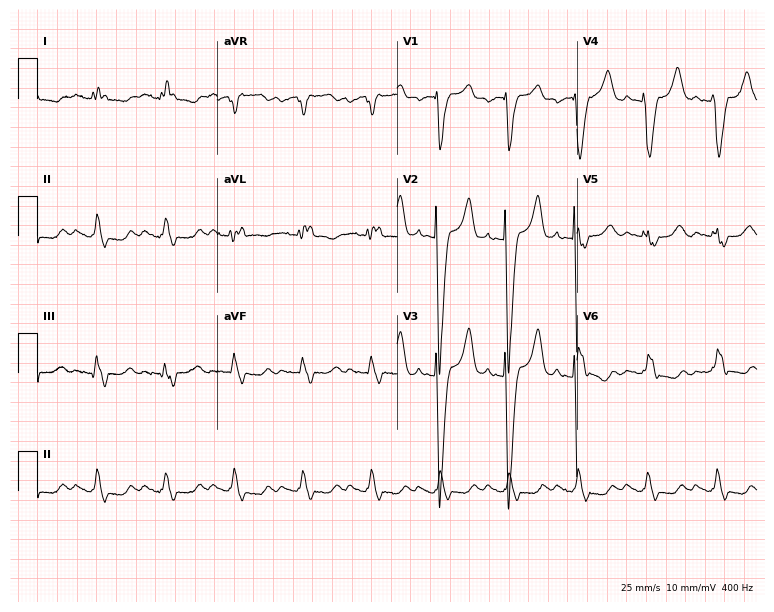
12-lead ECG from a female, 65 years old. Screened for six findings — first-degree AV block, right bundle branch block, left bundle branch block, sinus bradycardia, atrial fibrillation, sinus tachycardia — none is recorded. Other findings, if any, are not listed.